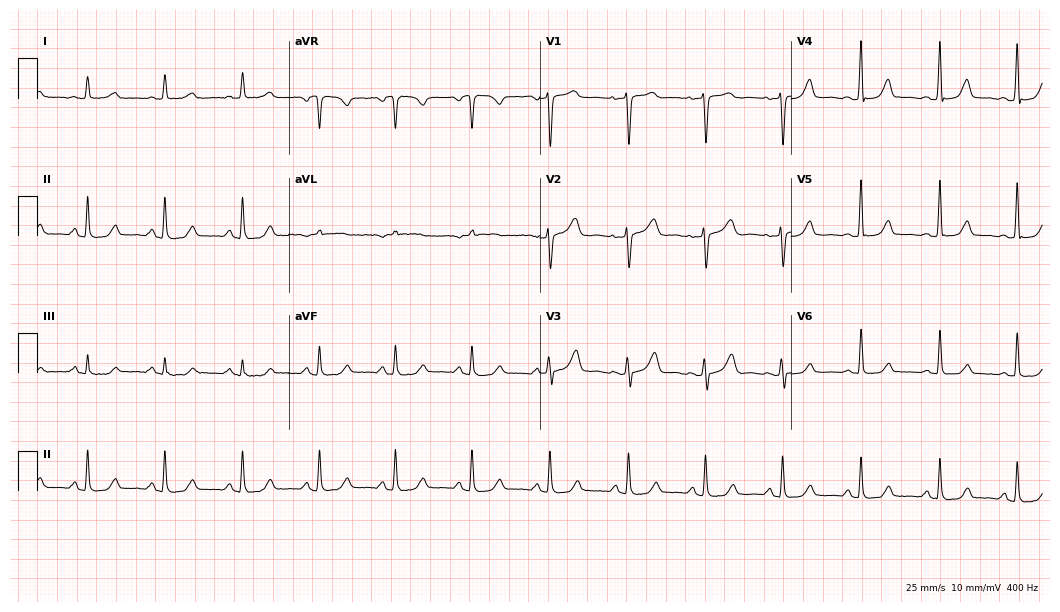
ECG — a female, 59 years old. Labelled as a normal ECG.